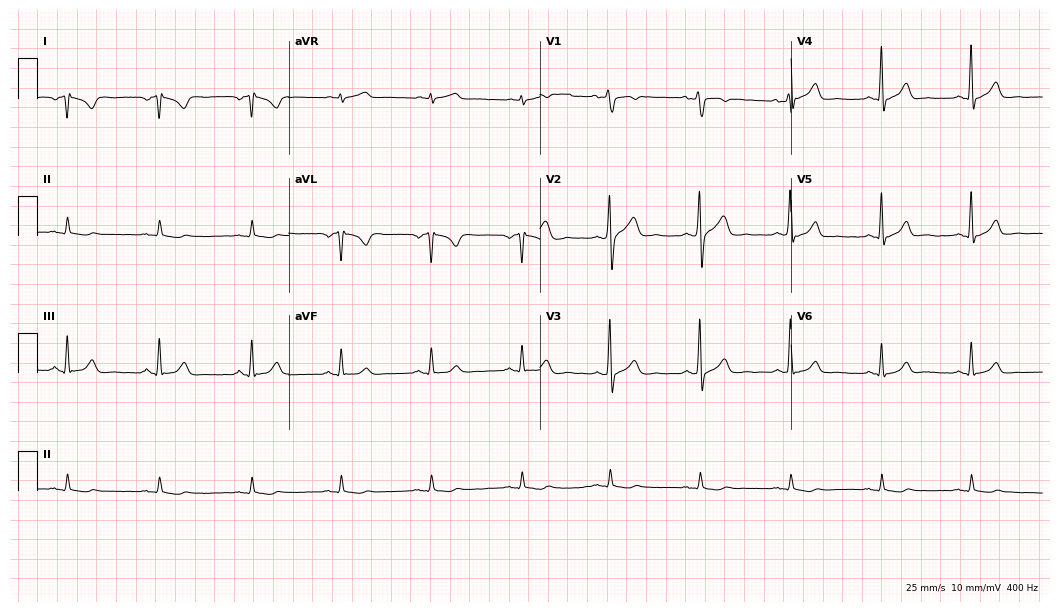
Standard 12-lead ECG recorded from a male patient, 36 years old (10.2-second recording at 400 Hz). None of these six findings is recorded: first-degree AV block, right bundle branch block, left bundle branch block, sinus bradycardia, atrial fibrillation, sinus tachycardia.